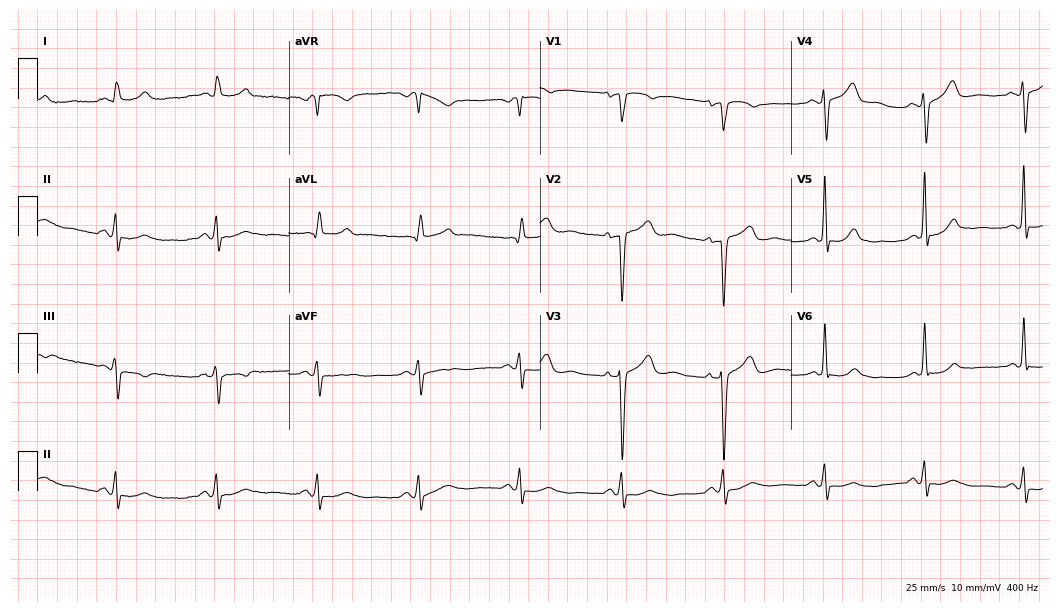
Resting 12-lead electrocardiogram (10.2-second recording at 400 Hz). Patient: a man, 72 years old. None of these six findings is recorded: first-degree AV block, right bundle branch block (RBBB), left bundle branch block (LBBB), sinus bradycardia, atrial fibrillation (AF), sinus tachycardia.